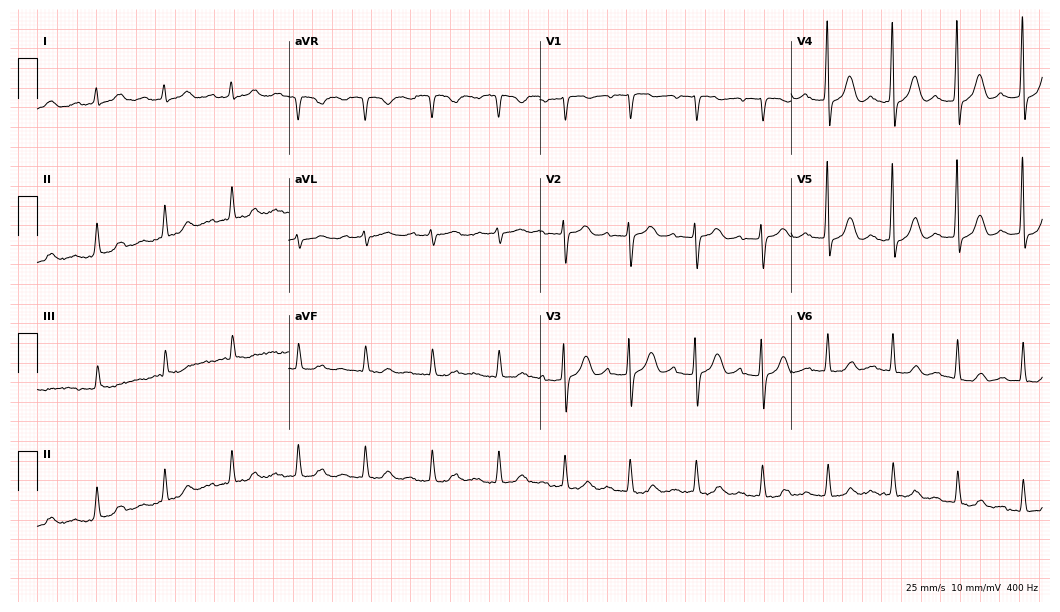
Standard 12-lead ECG recorded from an 85-year-old male. The tracing shows first-degree AV block.